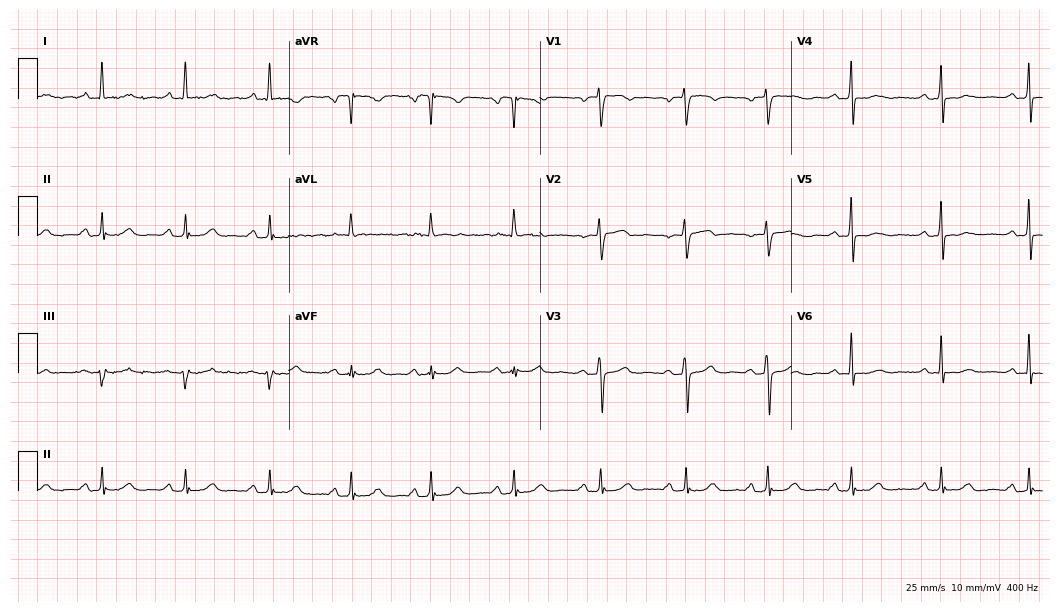
12-lead ECG from a female, 46 years old. No first-degree AV block, right bundle branch block, left bundle branch block, sinus bradycardia, atrial fibrillation or sinus tachycardia recorded for this tracing. Only these six findings were labelled.